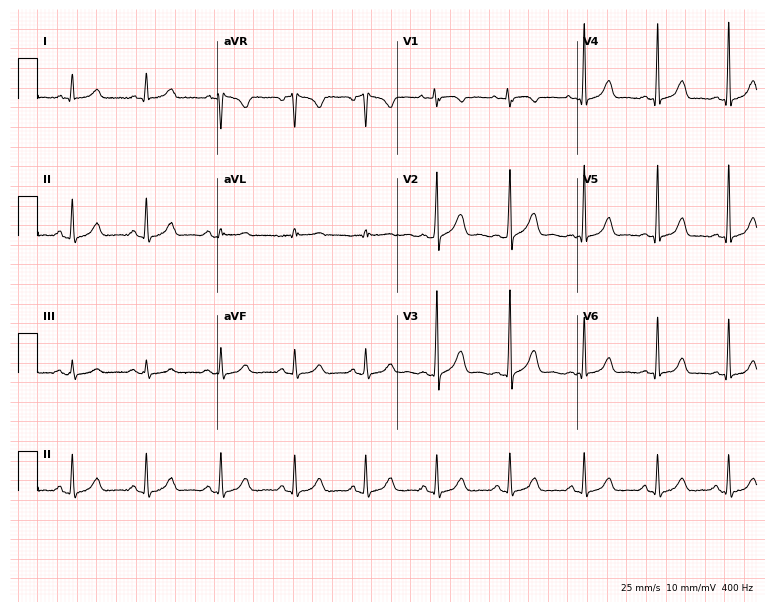
Electrocardiogram, a female patient, 69 years old. Of the six screened findings (first-degree AV block, right bundle branch block (RBBB), left bundle branch block (LBBB), sinus bradycardia, atrial fibrillation (AF), sinus tachycardia), none is recorded. Other findings, if any, are not listed.